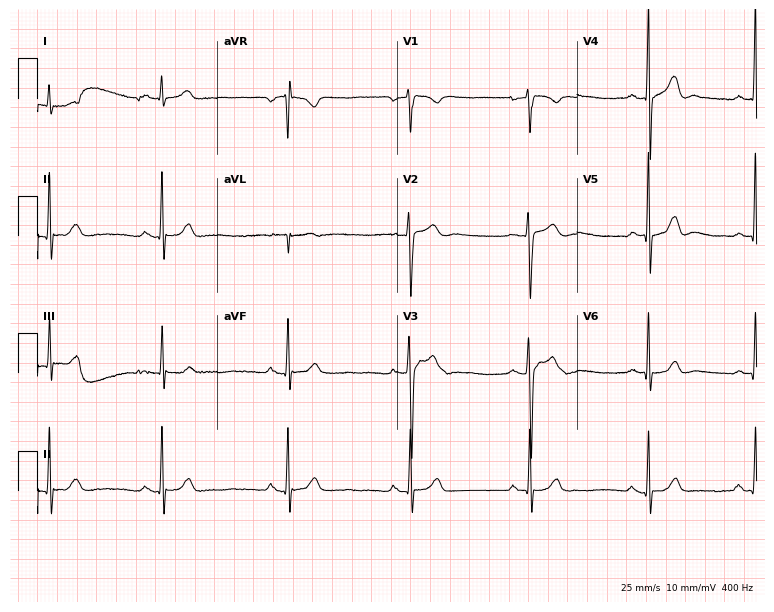
ECG — a 17-year-old male. Findings include sinus bradycardia (a sinus rate of 50 beats per minute or less).